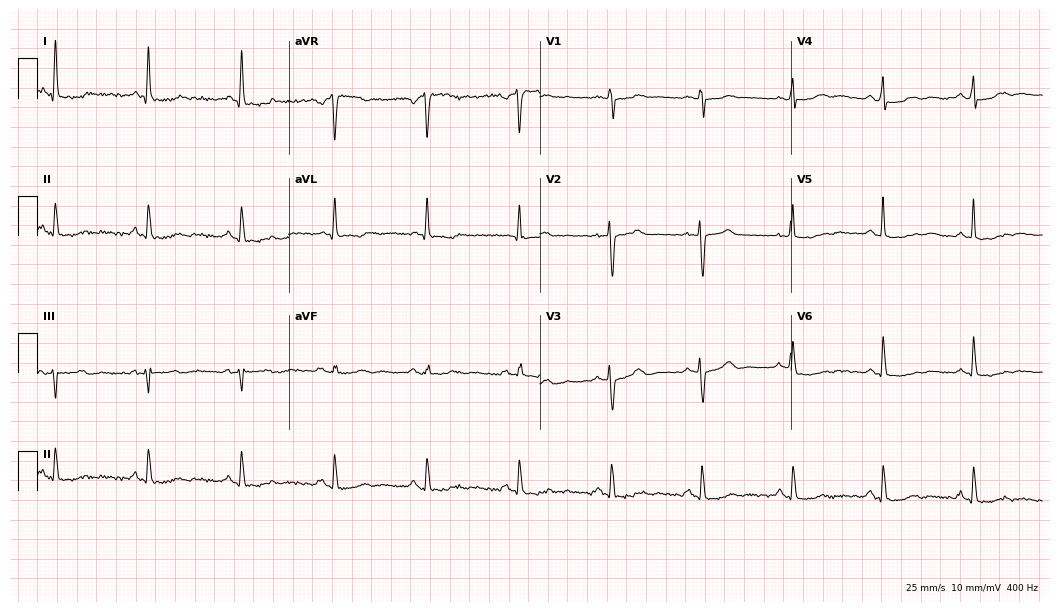
Standard 12-lead ECG recorded from a 62-year-old woman. Read as a normal ECG.